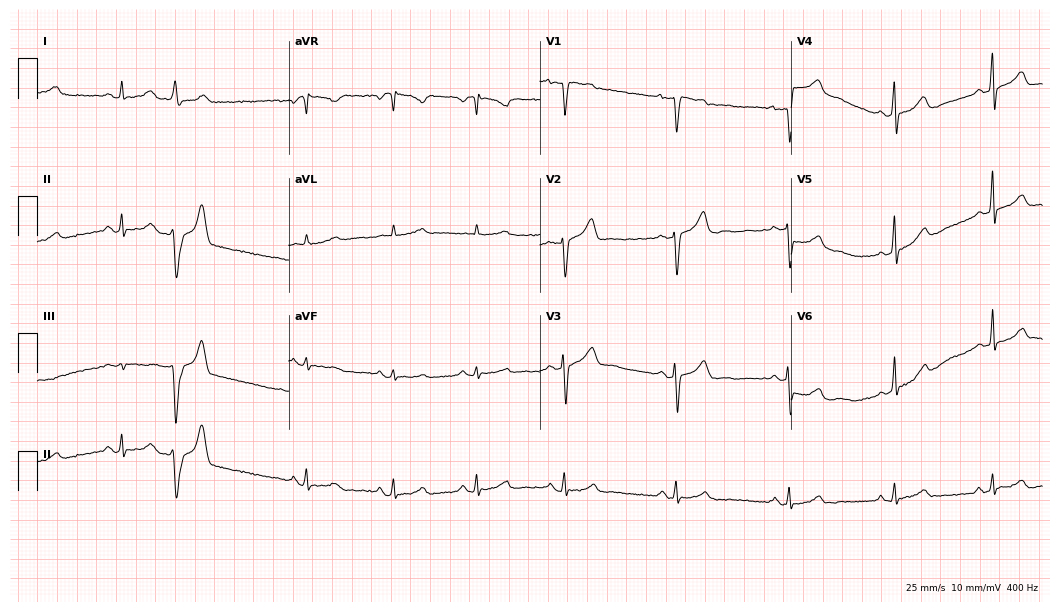
ECG — a female, 25 years old. Screened for six findings — first-degree AV block, right bundle branch block, left bundle branch block, sinus bradycardia, atrial fibrillation, sinus tachycardia — none is recorded. Other findings, if any, are not listed.